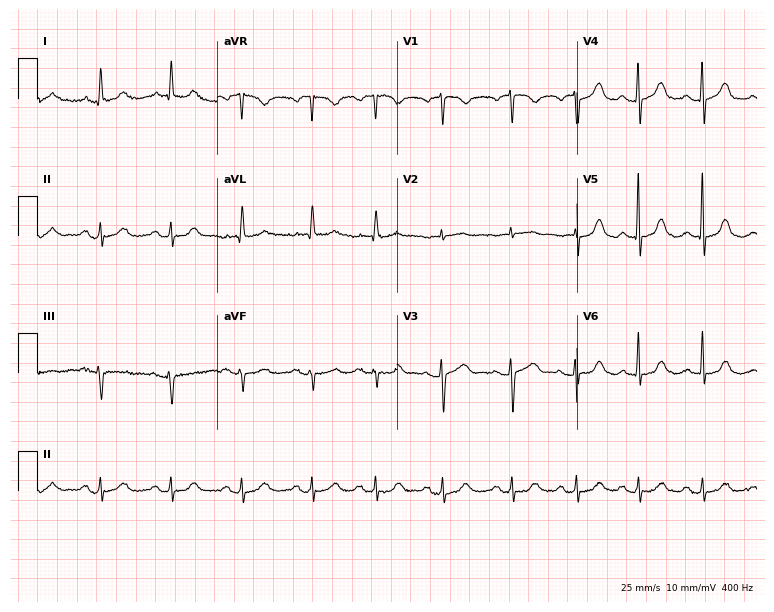
12-lead ECG from a woman, 79 years old. Labelled as a normal ECG.